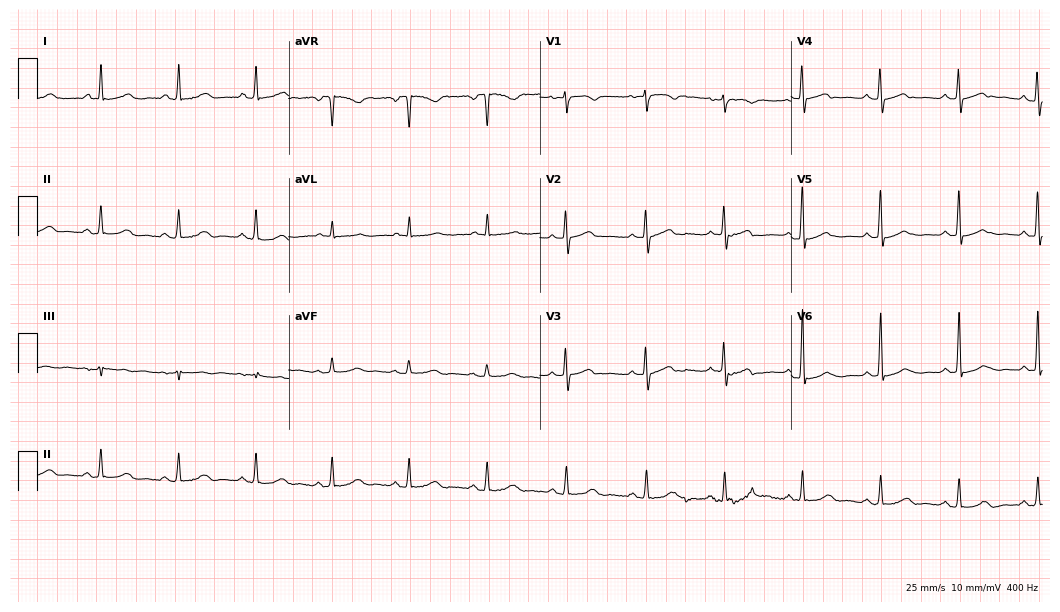
Standard 12-lead ECG recorded from a female, 63 years old. Read as a normal ECG.